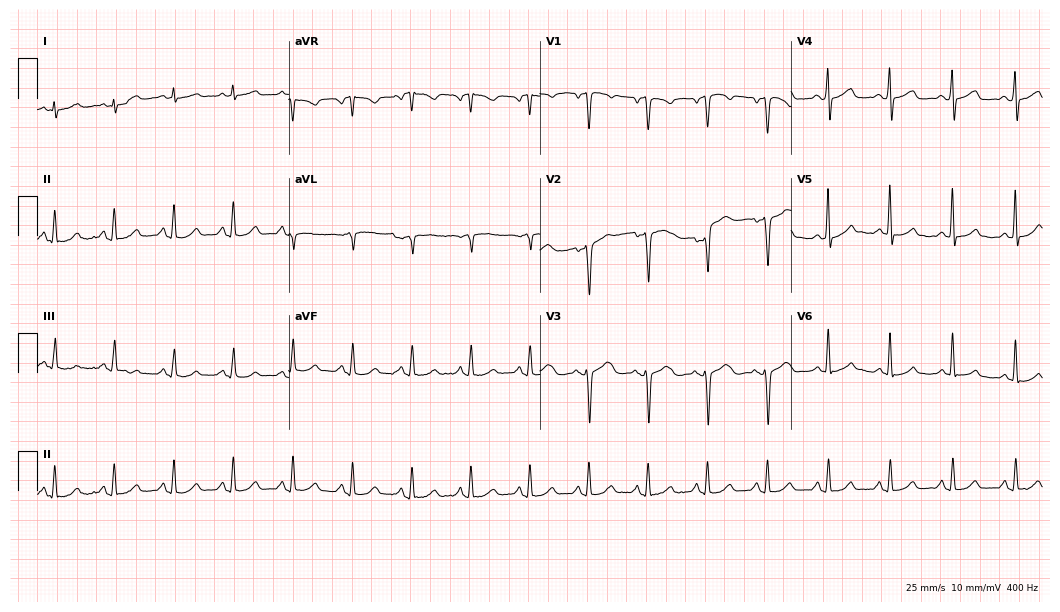
12-lead ECG (10.2-second recording at 400 Hz) from a 54-year-old woman. Screened for six findings — first-degree AV block, right bundle branch block, left bundle branch block, sinus bradycardia, atrial fibrillation, sinus tachycardia — none is recorded. Only these six findings were labelled.